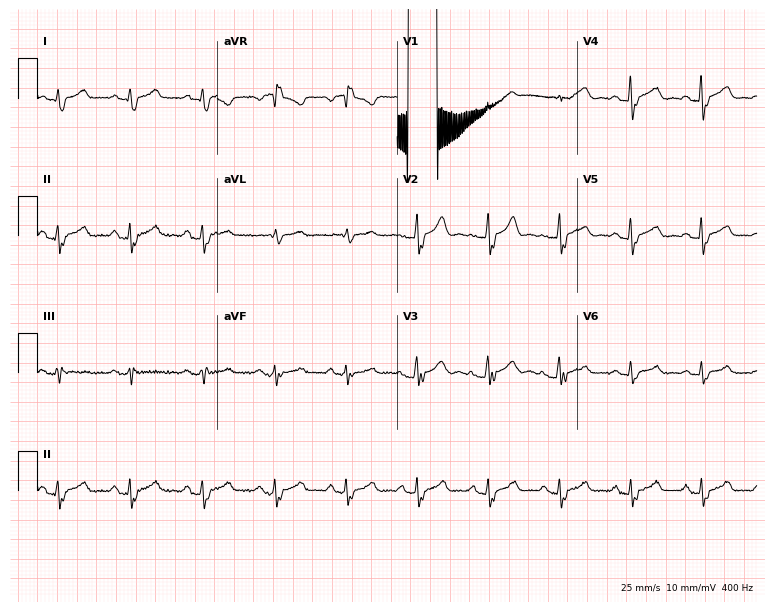
12-lead ECG (7.3-second recording at 400 Hz) from a female, 63 years old. Screened for six findings — first-degree AV block, right bundle branch block, left bundle branch block, sinus bradycardia, atrial fibrillation, sinus tachycardia — none is recorded. Only these six findings were labelled.